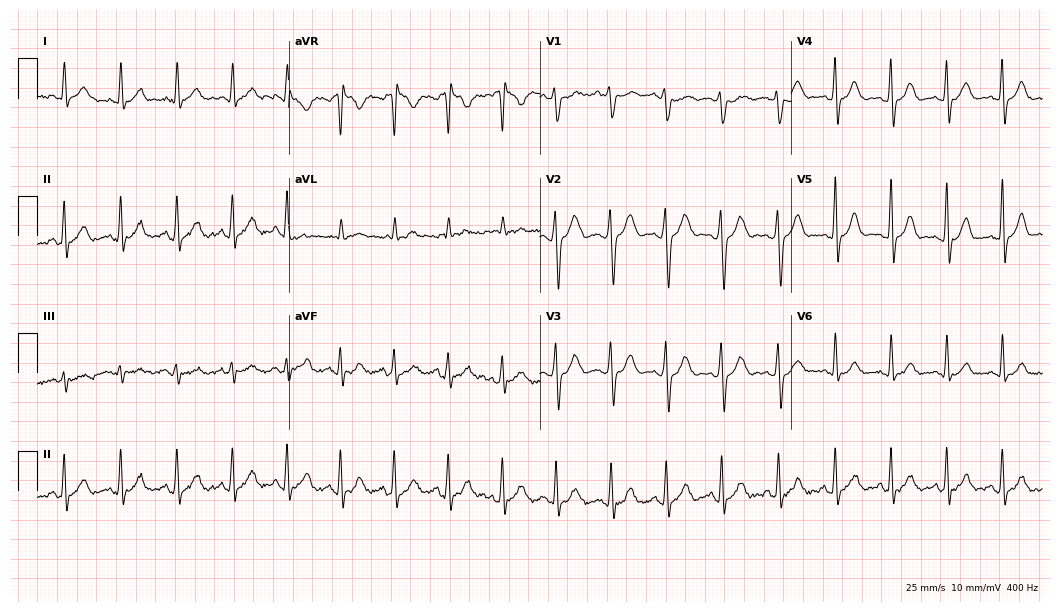
Electrocardiogram, a man, 18 years old. Interpretation includes atrial fibrillation, sinus tachycardia (a sinus rate of 100 beats per minute or more).